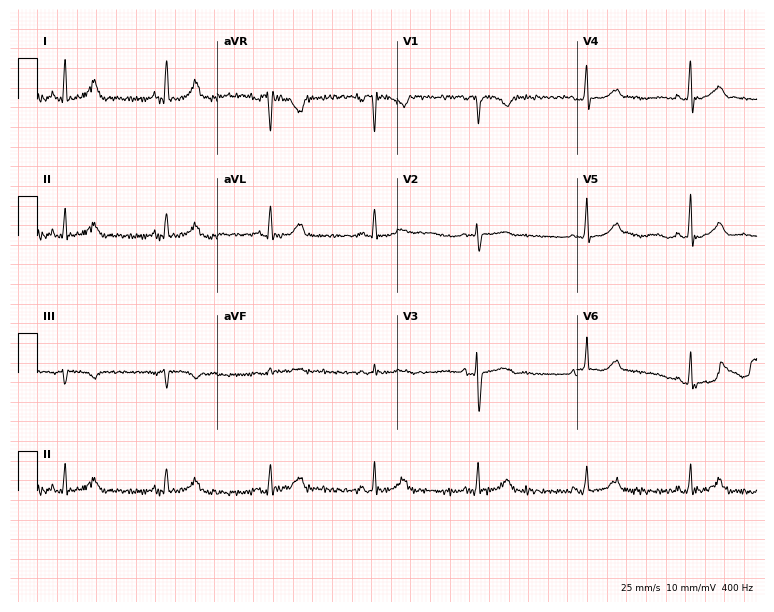
ECG — a man, 48 years old. Screened for six findings — first-degree AV block, right bundle branch block, left bundle branch block, sinus bradycardia, atrial fibrillation, sinus tachycardia — none is recorded. Only these six findings were labelled.